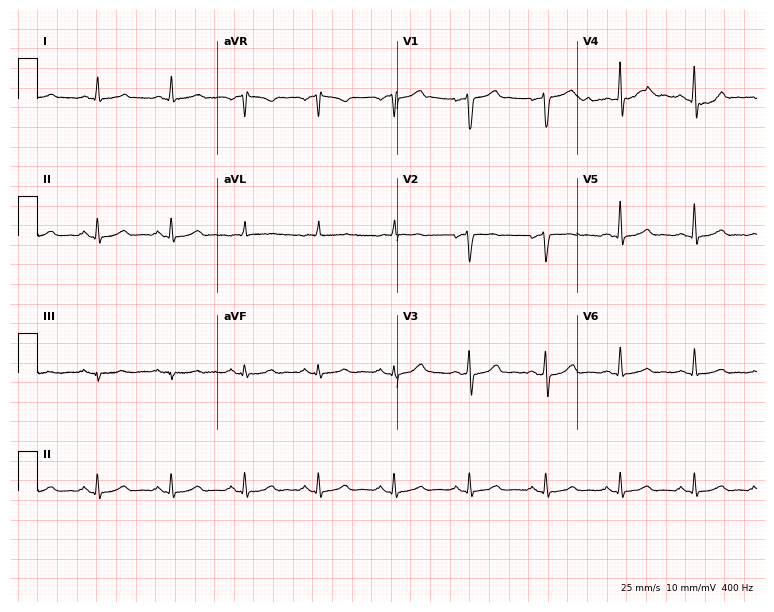
ECG (7.3-second recording at 400 Hz) — a 64-year-old male. Labelled as a normal ECG.